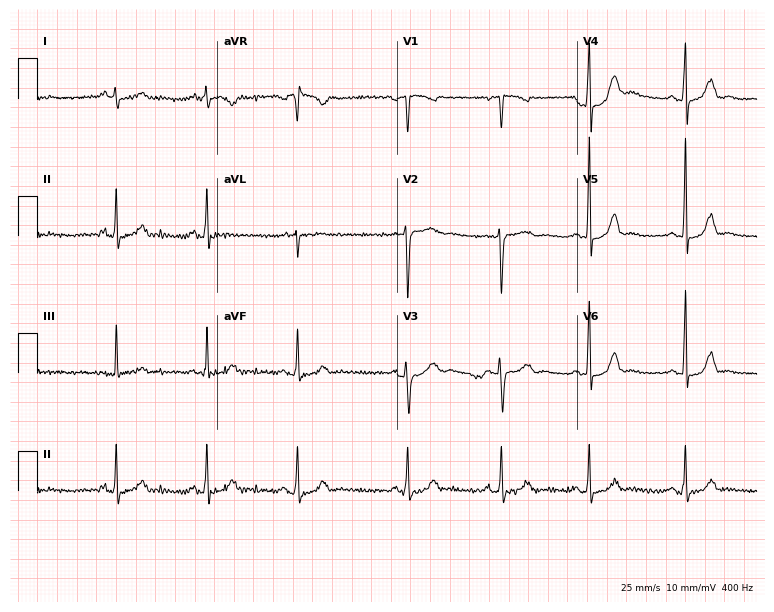
ECG — a woman, 17 years old. Labelled as a normal ECG.